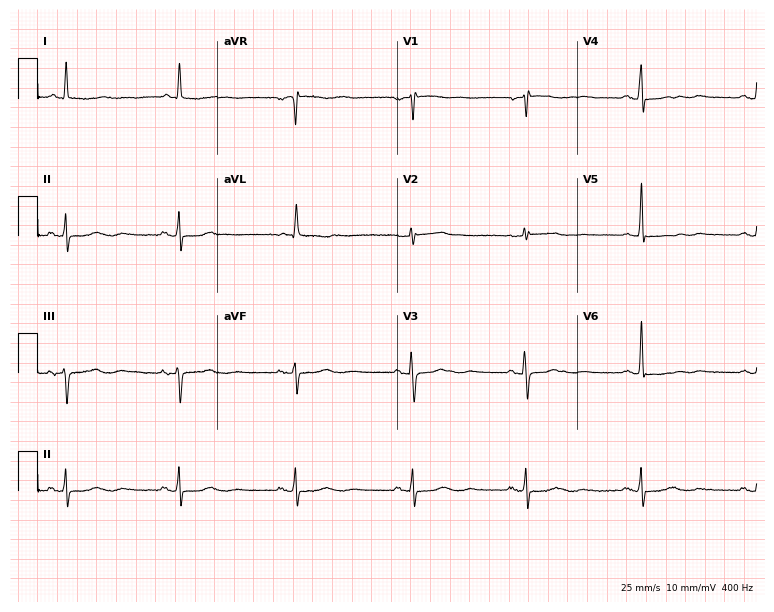
Resting 12-lead electrocardiogram. Patient: a female, 76 years old. None of these six findings is recorded: first-degree AV block, right bundle branch block (RBBB), left bundle branch block (LBBB), sinus bradycardia, atrial fibrillation (AF), sinus tachycardia. Other findings, if any, are not listed.